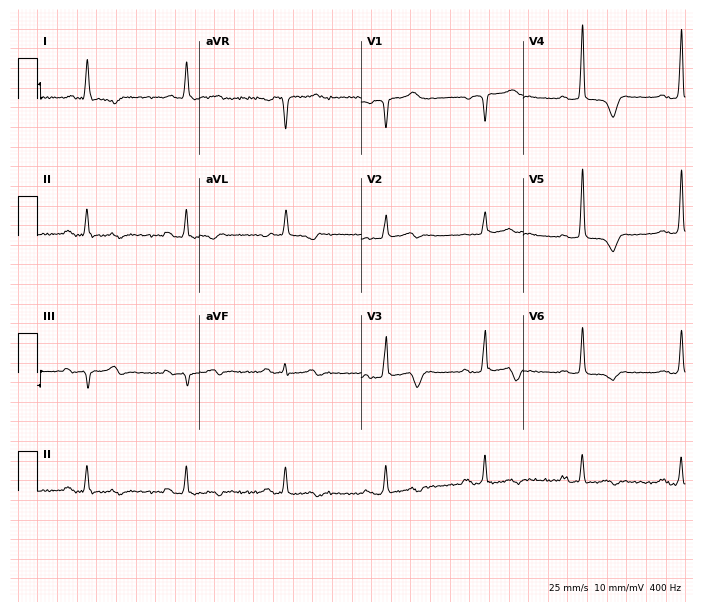
12-lead ECG from a 79-year-old male patient. Shows first-degree AV block.